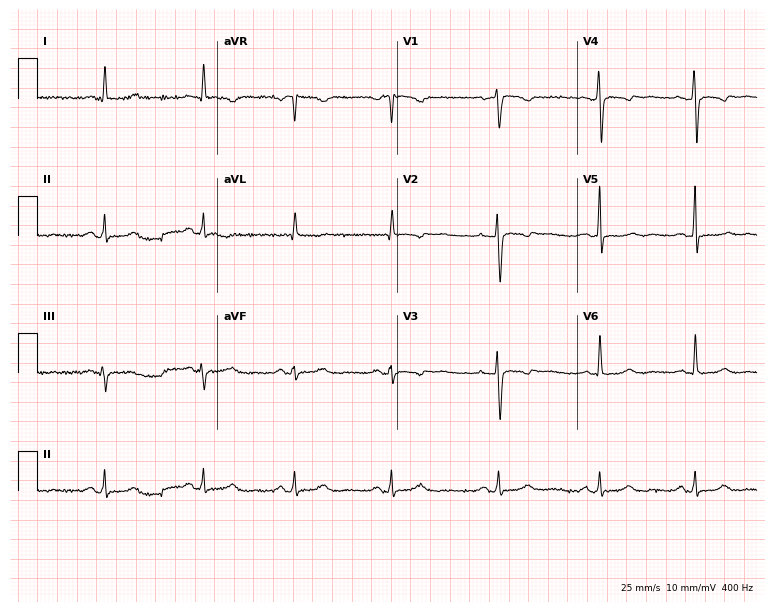
ECG — a 50-year-old female. Screened for six findings — first-degree AV block, right bundle branch block, left bundle branch block, sinus bradycardia, atrial fibrillation, sinus tachycardia — none is recorded. Other findings, if any, are not listed.